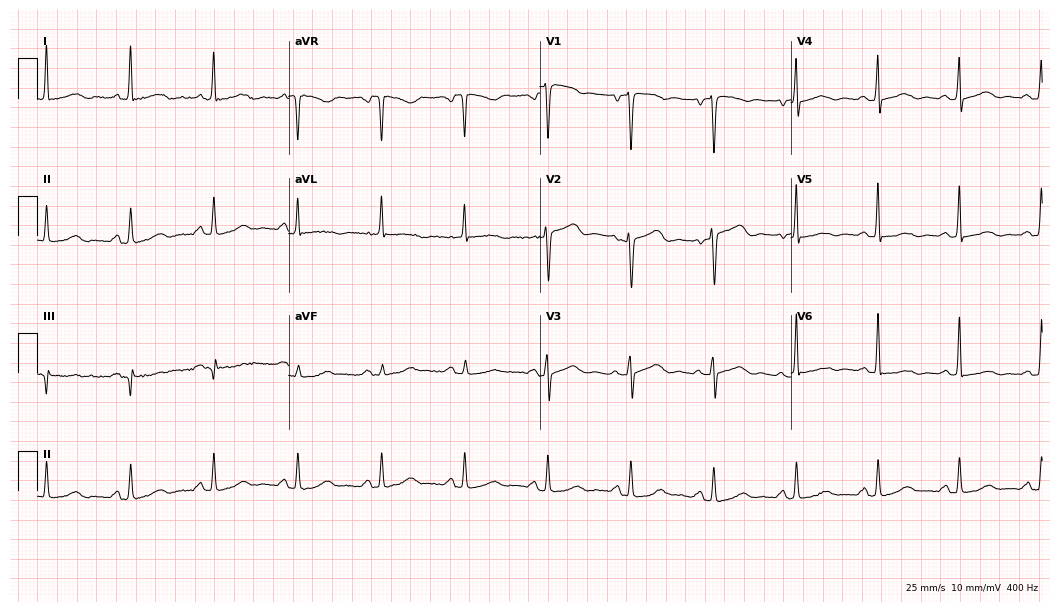
Electrocardiogram (10.2-second recording at 400 Hz), a female, 77 years old. Of the six screened findings (first-degree AV block, right bundle branch block (RBBB), left bundle branch block (LBBB), sinus bradycardia, atrial fibrillation (AF), sinus tachycardia), none is recorded. Only these six findings were labelled.